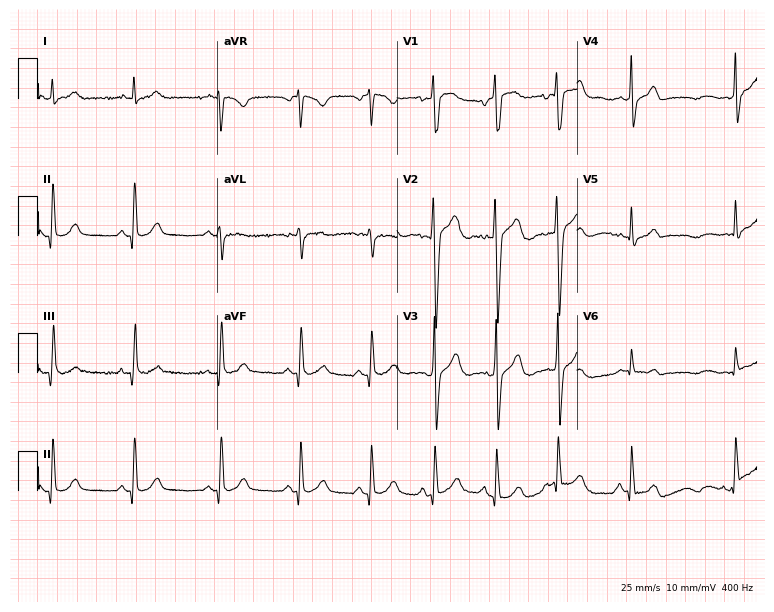
Standard 12-lead ECG recorded from a 21-year-old man (7.3-second recording at 400 Hz). Read as a normal ECG.